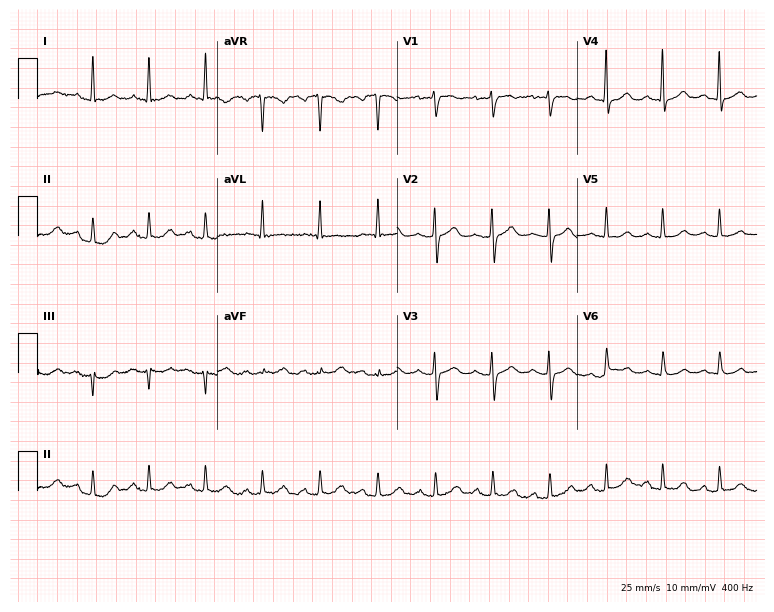
ECG (7.3-second recording at 400 Hz) — a female patient, 65 years old. Findings include sinus tachycardia (a sinus rate of 100 beats per minute or more).